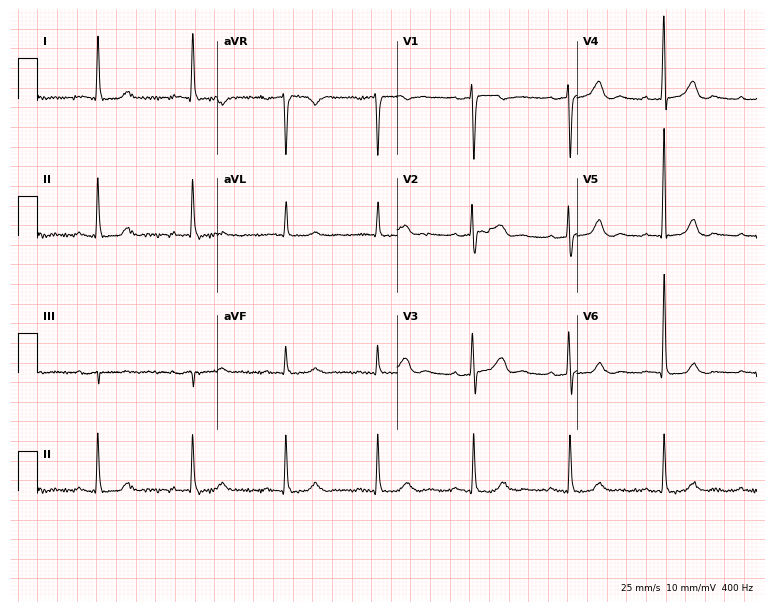
Resting 12-lead electrocardiogram. Patient: a 72-year-old woman. None of these six findings is recorded: first-degree AV block, right bundle branch block, left bundle branch block, sinus bradycardia, atrial fibrillation, sinus tachycardia.